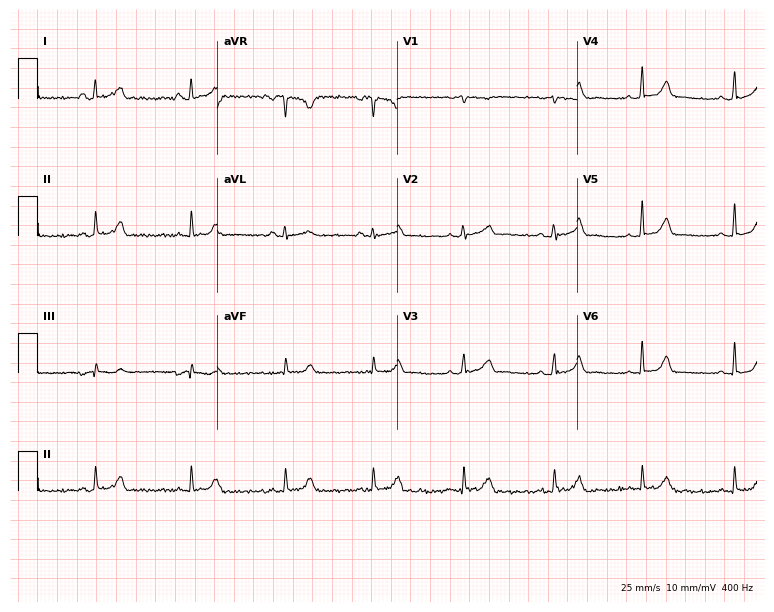
ECG — a woman, 25 years old. Screened for six findings — first-degree AV block, right bundle branch block (RBBB), left bundle branch block (LBBB), sinus bradycardia, atrial fibrillation (AF), sinus tachycardia — none is recorded.